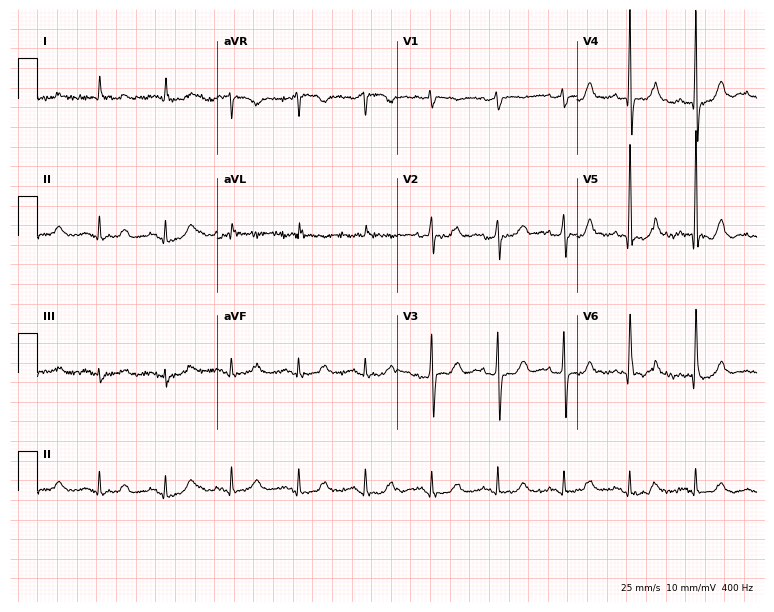
Resting 12-lead electrocardiogram. Patient: a man, 85 years old. Read as a normal ECG.